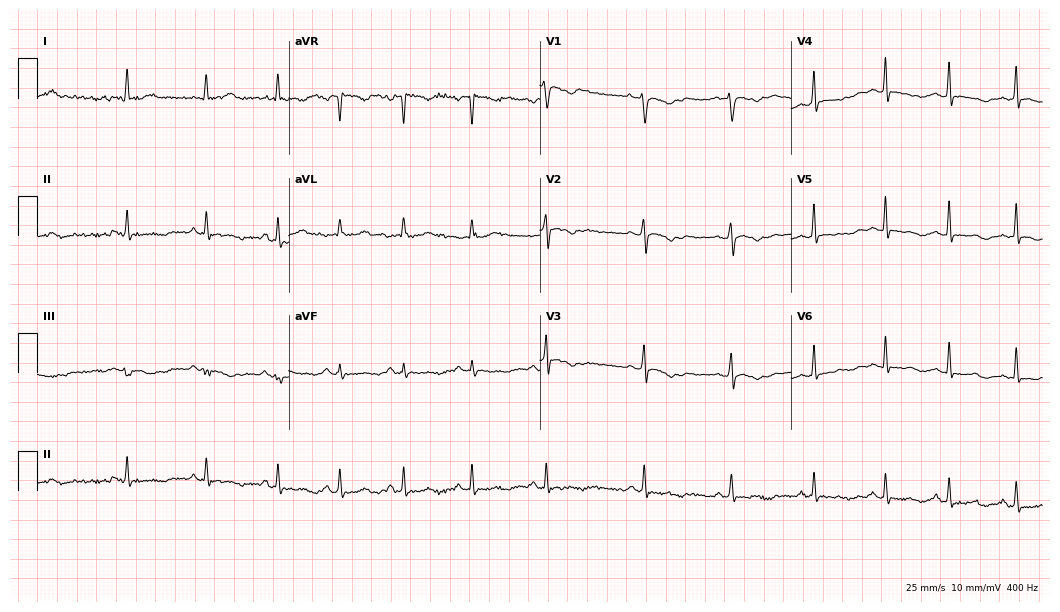
12-lead ECG from a 37-year-old woman (10.2-second recording at 400 Hz). No first-degree AV block, right bundle branch block, left bundle branch block, sinus bradycardia, atrial fibrillation or sinus tachycardia recorded for this tracing.